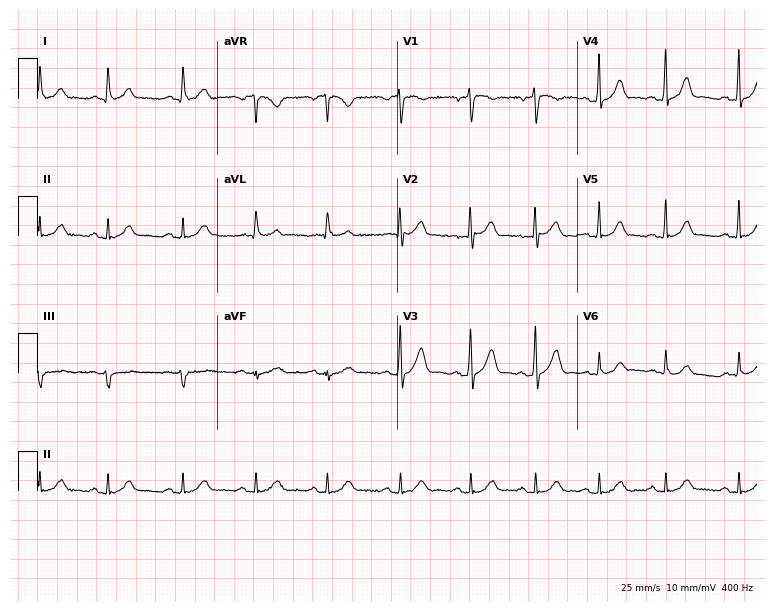
Electrocardiogram (7.3-second recording at 400 Hz), a man, 71 years old. Overall reading on record: normal ECG.